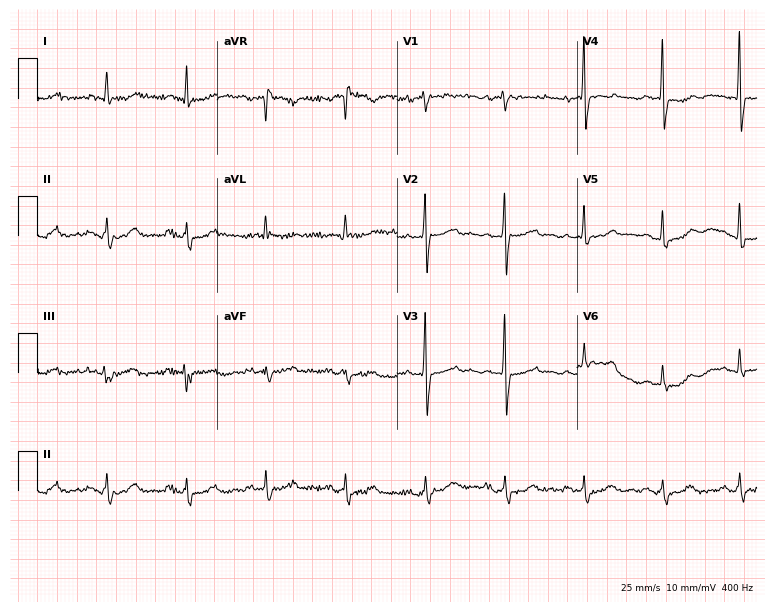
Standard 12-lead ECG recorded from a 67-year-old female patient. None of these six findings is recorded: first-degree AV block, right bundle branch block, left bundle branch block, sinus bradycardia, atrial fibrillation, sinus tachycardia.